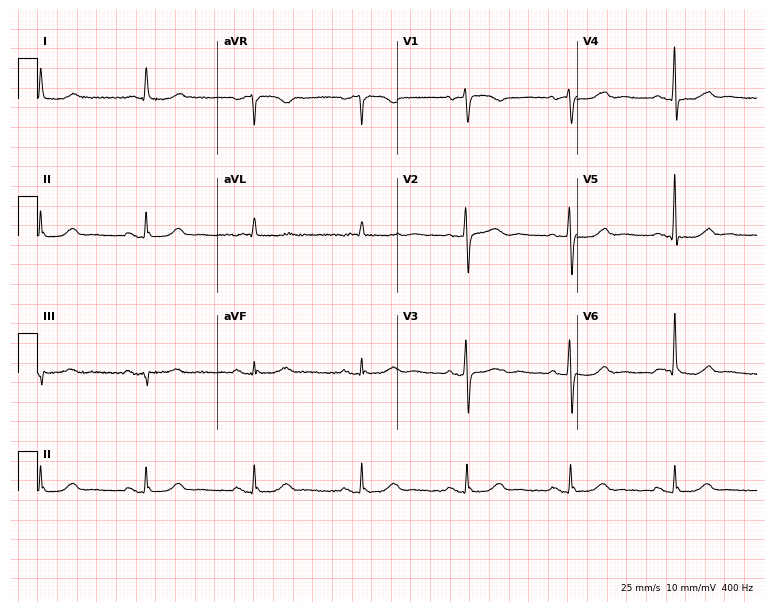
12-lead ECG (7.3-second recording at 400 Hz) from a woman, 76 years old. Labelled as a normal ECG.